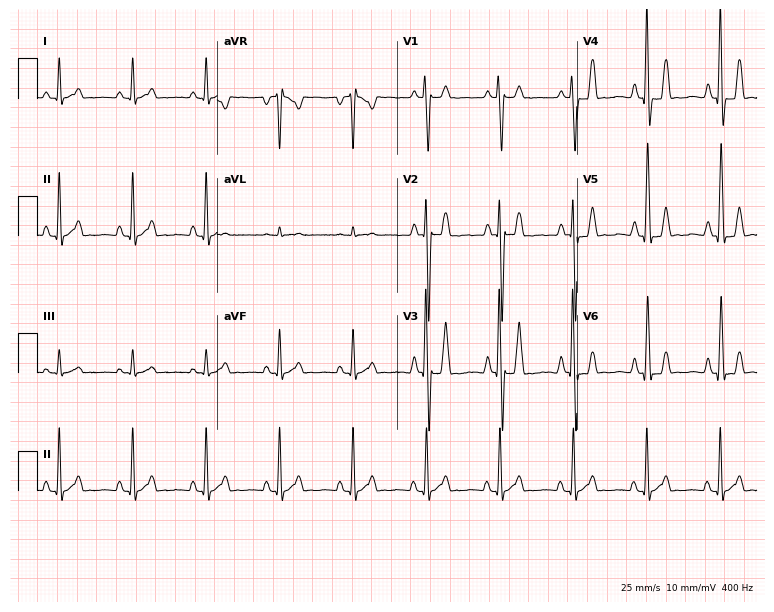
Standard 12-lead ECG recorded from a 29-year-old male patient. None of these six findings is recorded: first-degree AV block, right bundle branch block, left bundle branch block, sinus bradycardia, atrial fibrillation, sinus tachycardia.